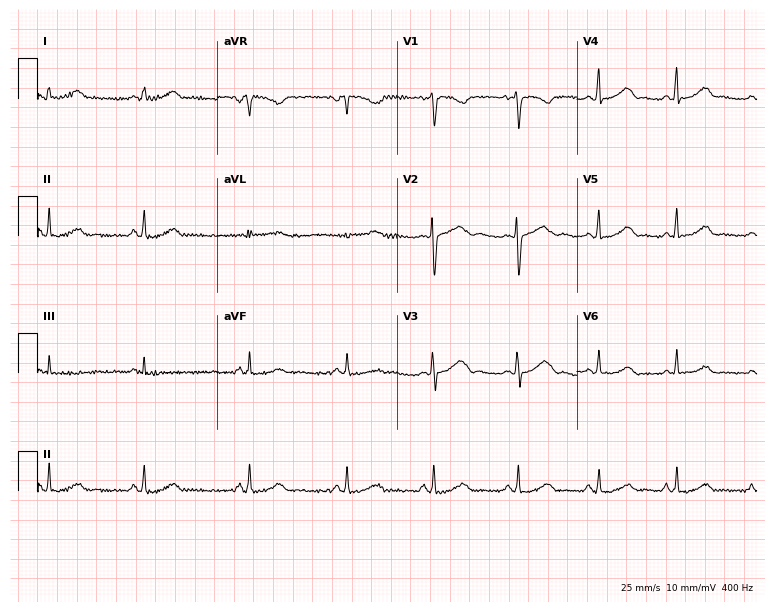
Electrocardiogram (7.3-second recording at 400 Hz), a 21-year-old female. Overall reading on record: normal ECG.